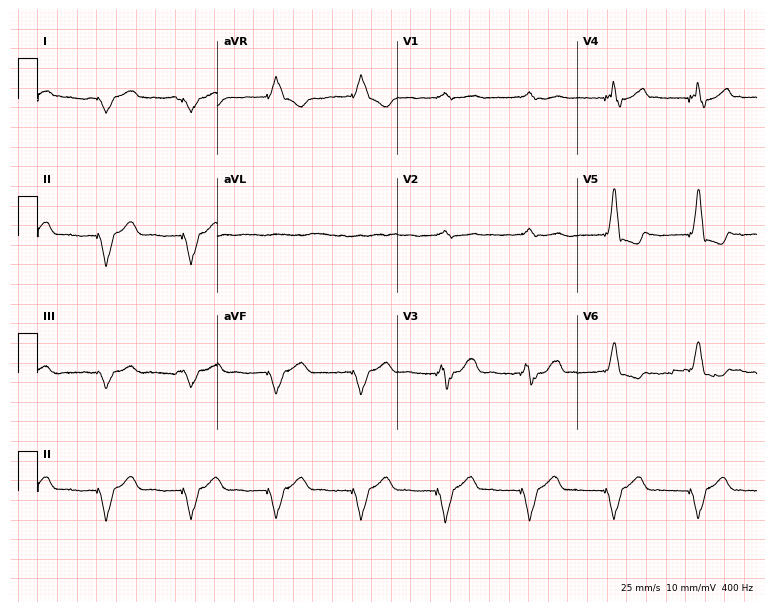
Standard 12-lead ECG recorded from a woman, 83 years old (7.3-second recording at 400 Hz). None of these six findings is recorded: first-degree AV block, right bundle branch block (RBBB), left bundle branch block (LBBB), sinus bradycardia, atrial fibrillation (AF), sinus tachycardia.